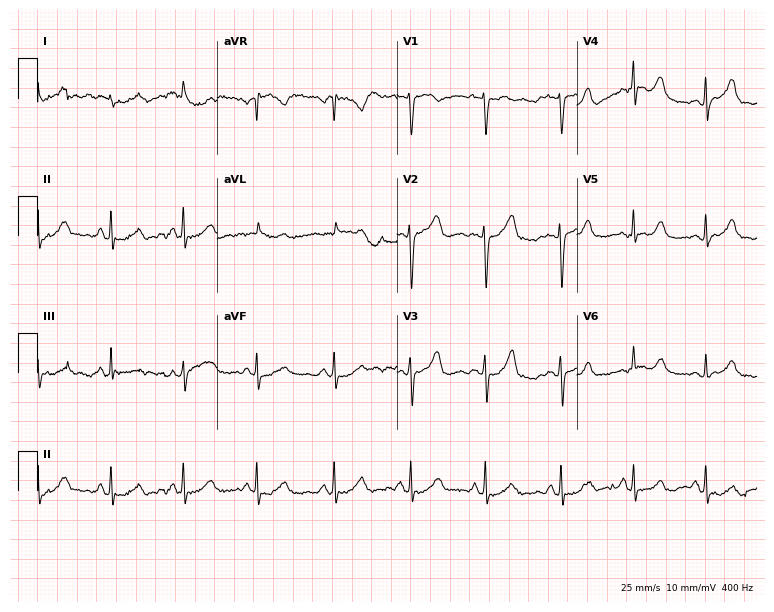
12-lead ECG from a female patient, 39 years old (7.3-second recording at 400 Hz). Recorded interpretation: within normal limits.